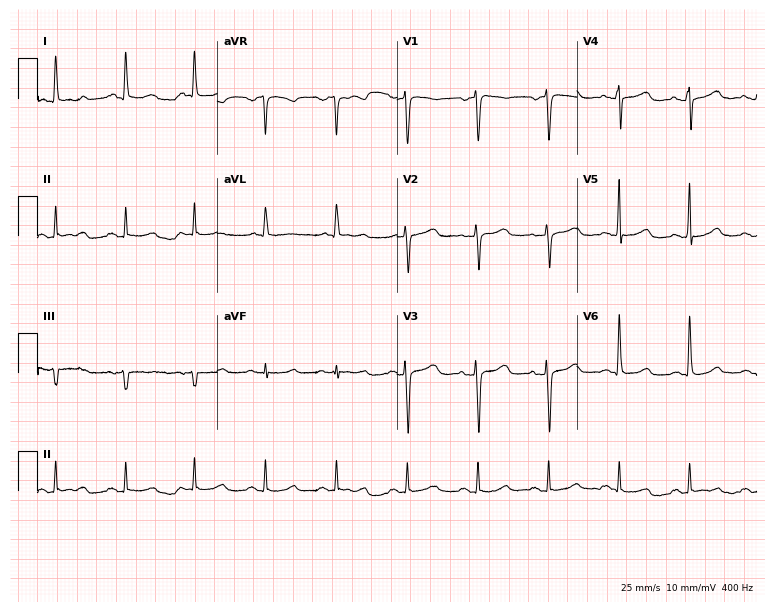
ECG — a female patient, 70 years old. Screened for six findings — first-degree AV block, right bundle branch block (RBBB), left bundle branch block (LBBB), sinus bradycardia, atrial fibrillation (AF), sinus tachycardia — none is recorded. Only these six findings were labelled.